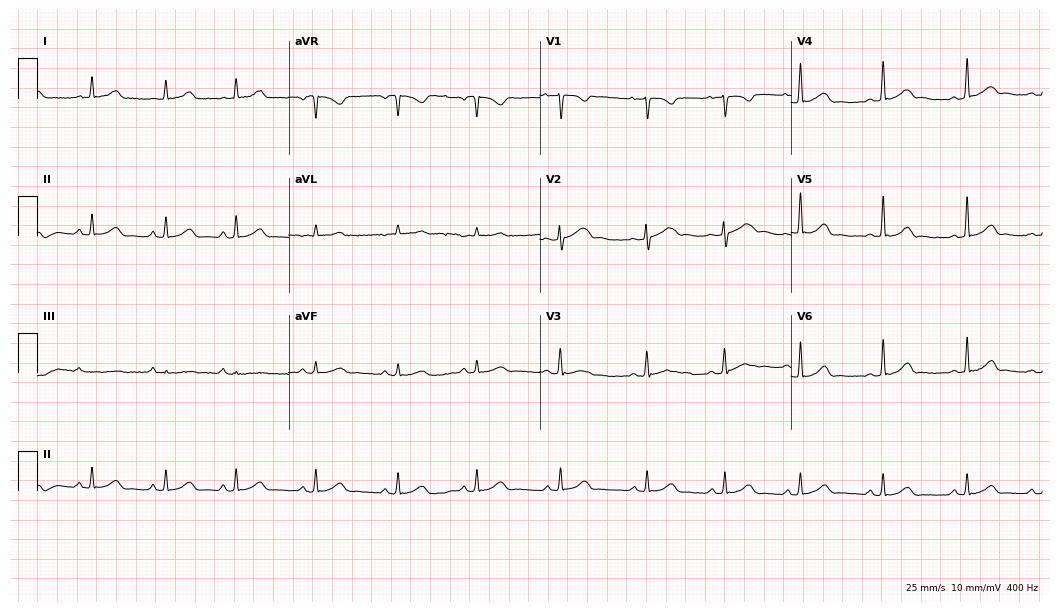
ECG (10.2-second recording at 400 Hz) — a woman, 18 years old. Labelled as a normal ECG.